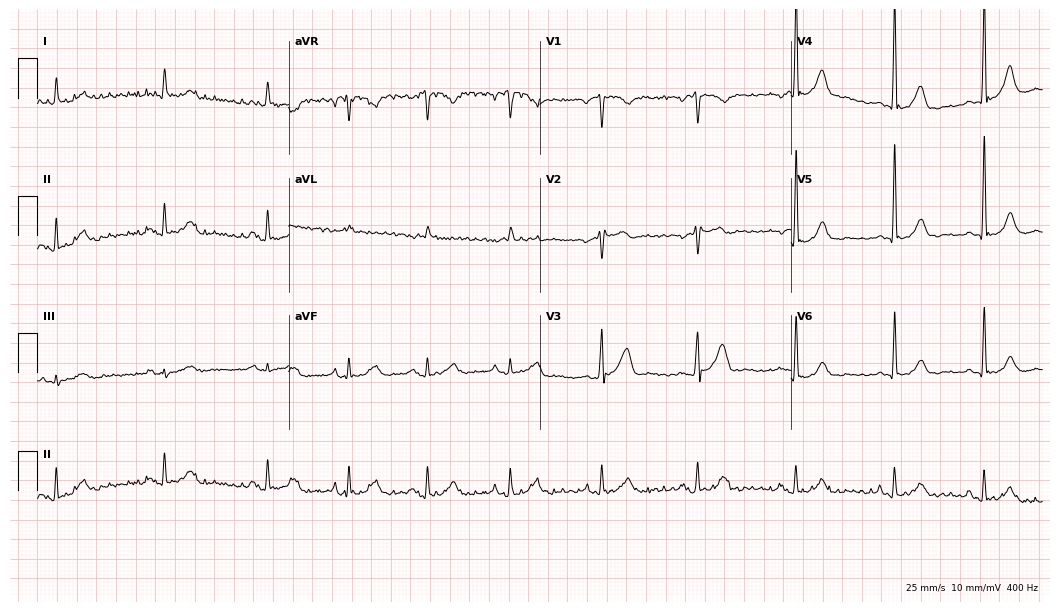
Resting 12-lead electrocardiogram. Patient: a man, 57 years old. None of these six findings is recorded: first-degree AV block, right bundle branch block (RBBB), left bundle branch block (LBBB), sinus bradycardia, atrial fibrillation (AF), sinus tachycardia.